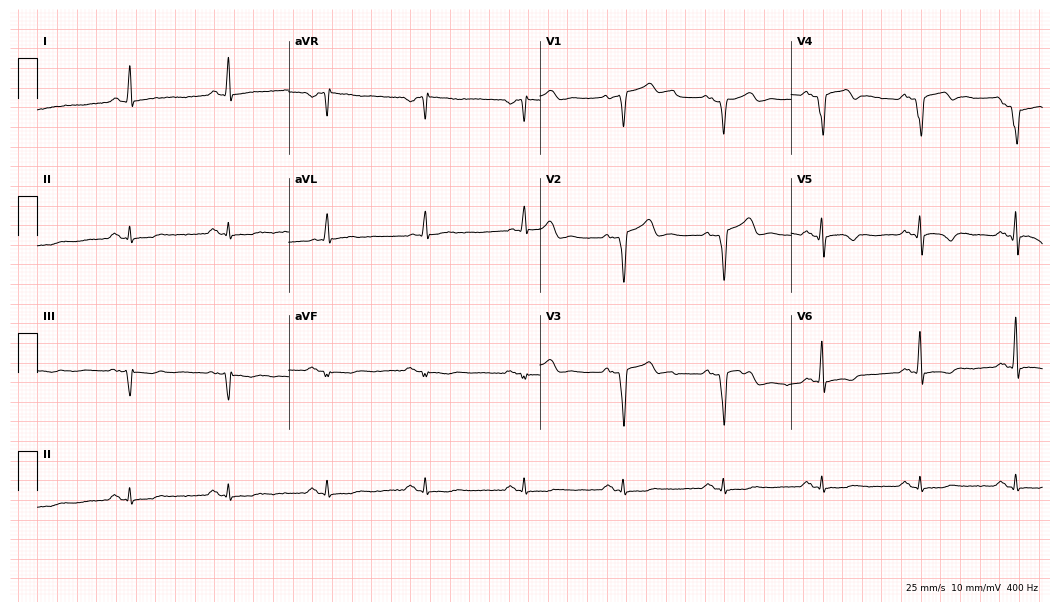
Resting 12-lead electrocardiogram. Patient: a male, 70 years old. None of these six findings is recorded: first-degree AV block, right bundle branch block, left bundle branch block, sinus bradycardia, atrial fibrillation, sinus tachycardia. Only these six findings were labelled.